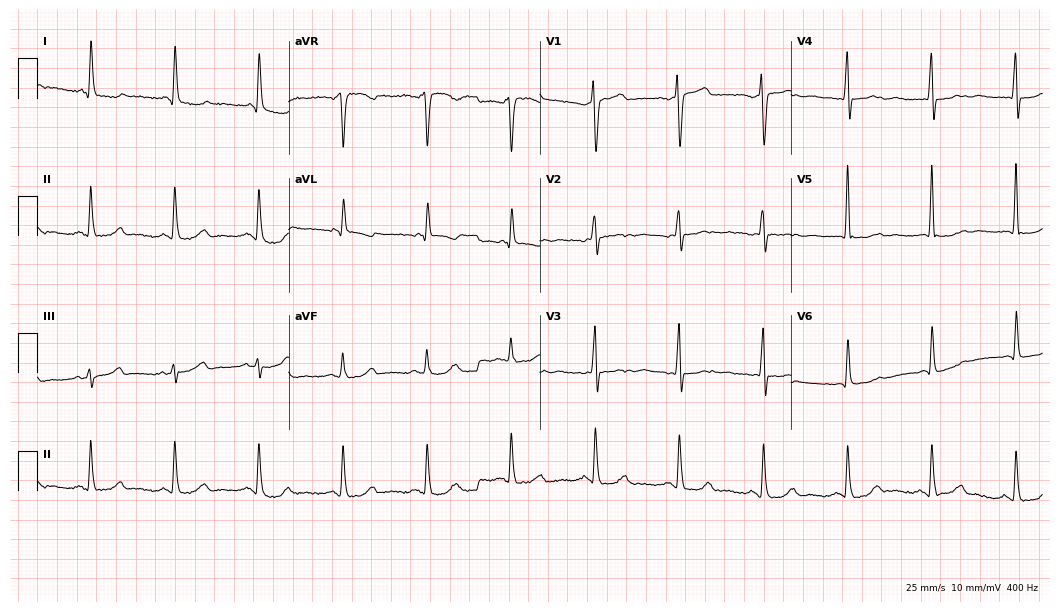
Resting 12-lead electrocardiogram (10.2-second recording at 400 Hz). Patient: a 69-year-old female. None of these six findings is recorded: first-degree AV block, right bundle branch block, left bundle branch block, sinus bradycardia, atrial fibrillation, sinus tachycardia.